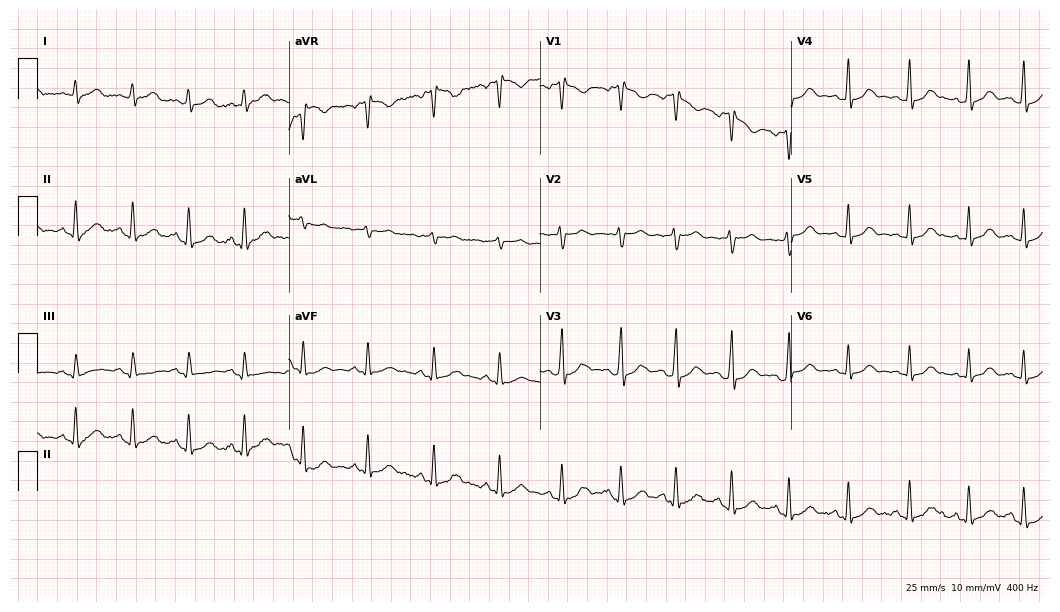
12-lead ECG from an 18-year-old female patient. No first-degree AV block, right bundle branch block, left bundle branch block, sinus bradycardia, atrial fibrillation or sinus tachycardia recorded for this tracing. Other findings, if any, are not listed.